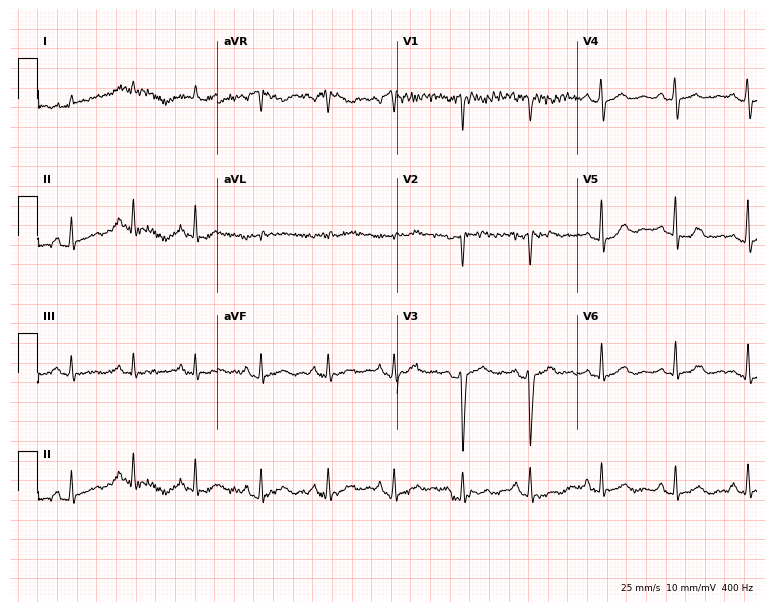
ECG — a 23-year-old female. Screened for six findings — first-degree AV block, right bundle branch block (RBBB), left bundle branch block (LBBB), sinus bradycardia, atrial fibrillation (AF), sinus tachycardia — none is recorded.